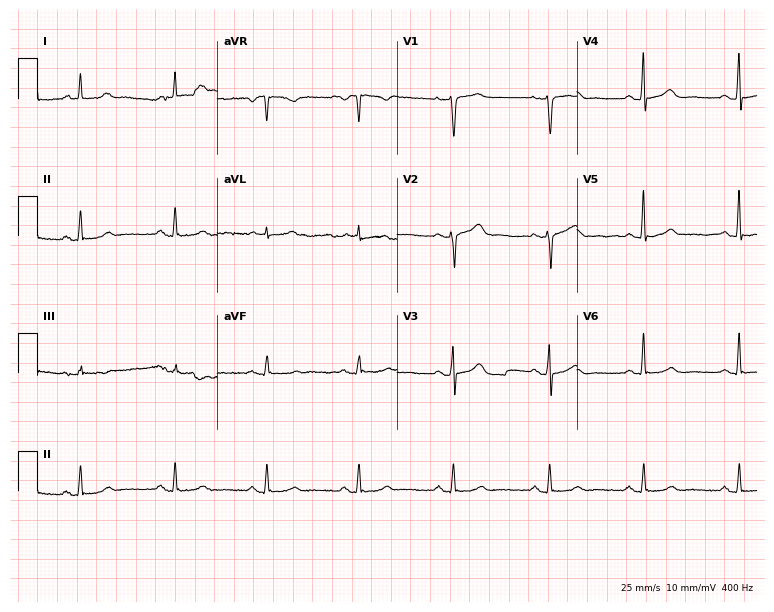
12-lead ECG from a 51-year-old female. Recorded interpretation: within normal limits.